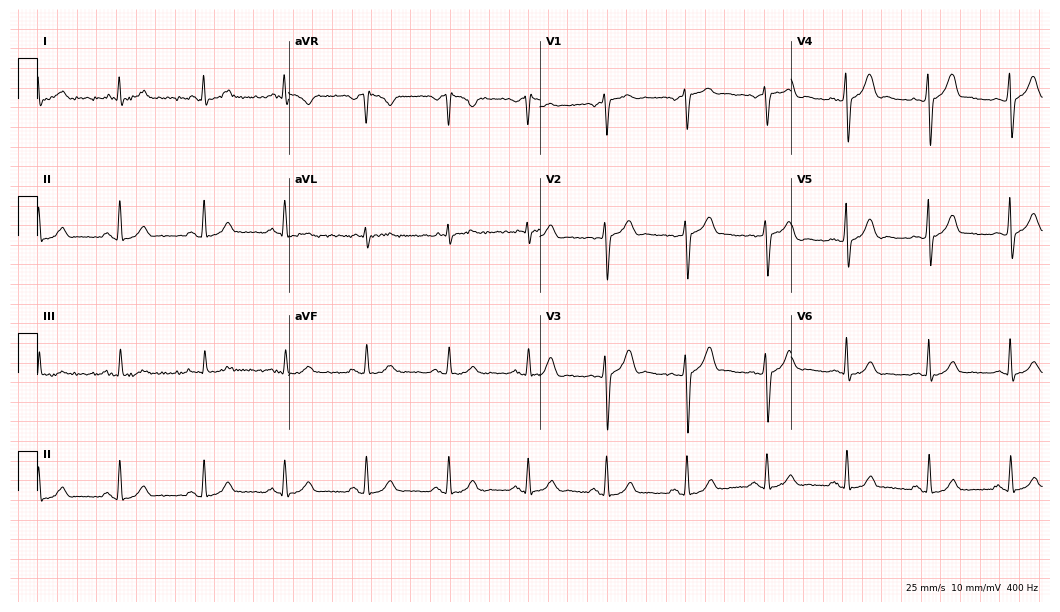
12-lead ECG (10.2-second recording at 400 Hz) from a 58-year-old man. Labelled as a normal ECG.